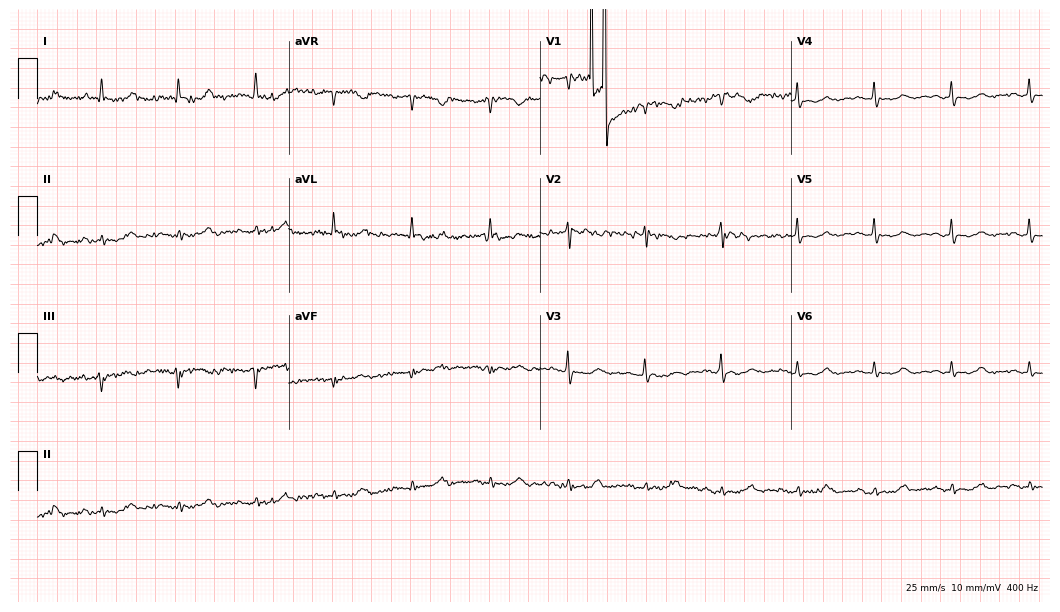
ECG (10.2-second recording at 400 Hz) — a 74-year-old female. Labelled as a normal ECG.